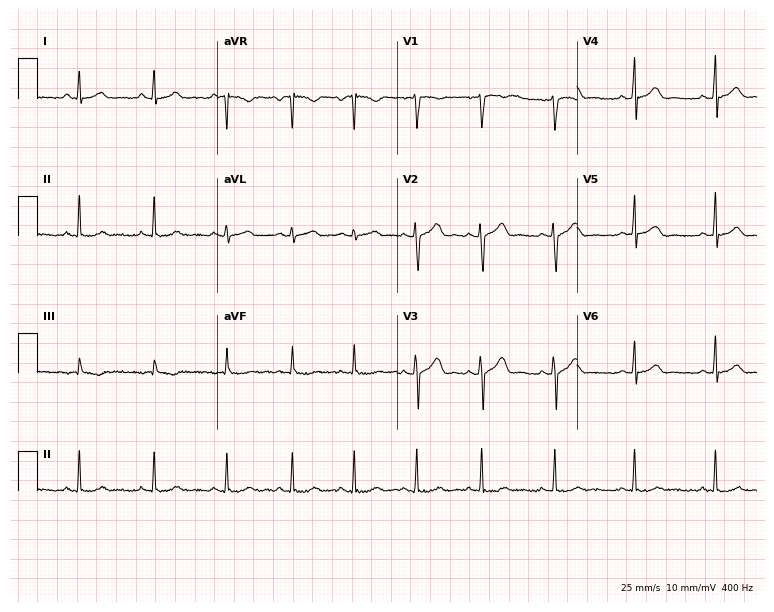
Standard 12-lead ECG recorded from a 23-year-old woman. Read as a normal ECG.